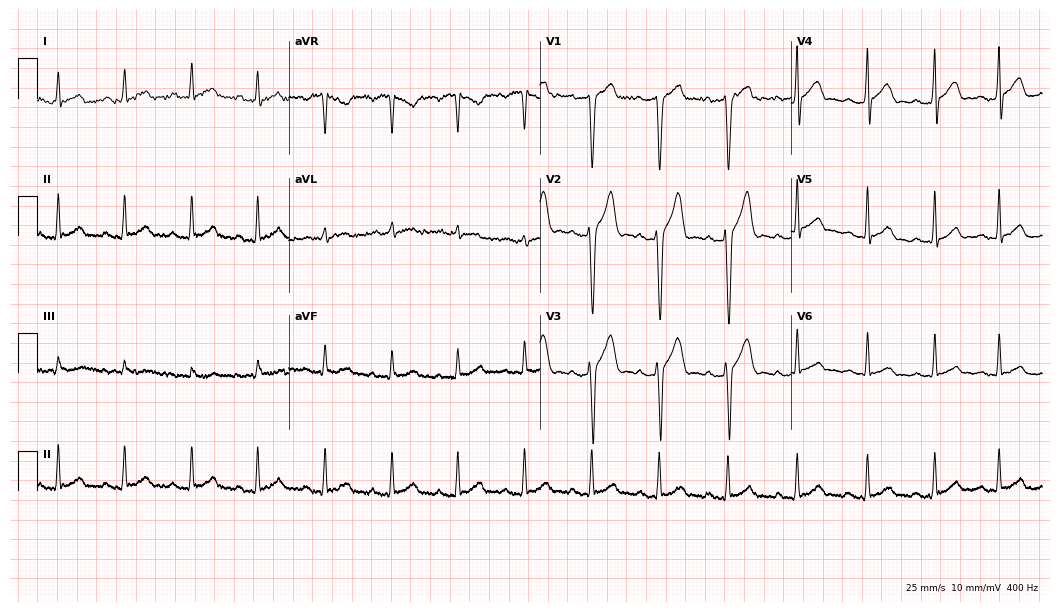
Resting 12-lead electrocardiogram (10.2-second recording at 400 Hz). Patient: a 30-year-old male. Read as a normal ECG.